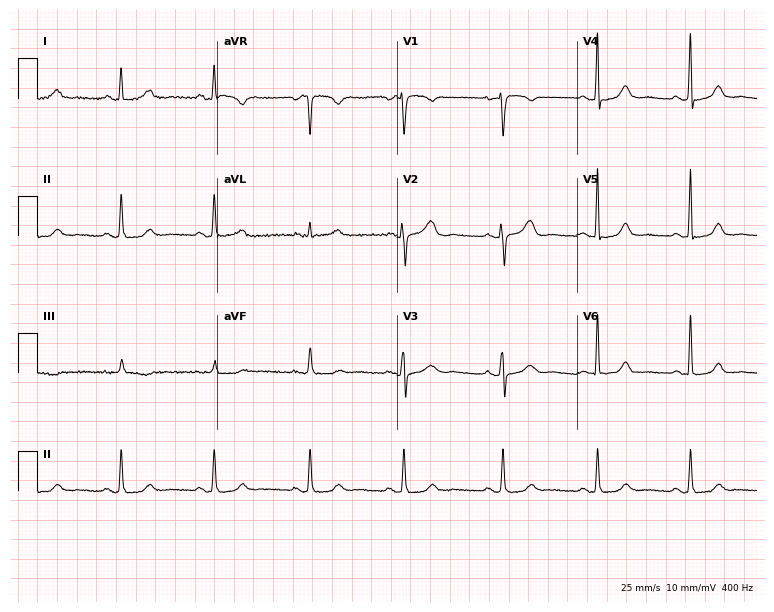
Standard 12-lead ECG recorded from a 50-year-old female. None of these six findings is recorded: first-degree AV block, right bundle branch block, left bundle branch block, sinus bradycardia, atrial fibrillation, sinus tachycardia. Only these six findings were labelled.